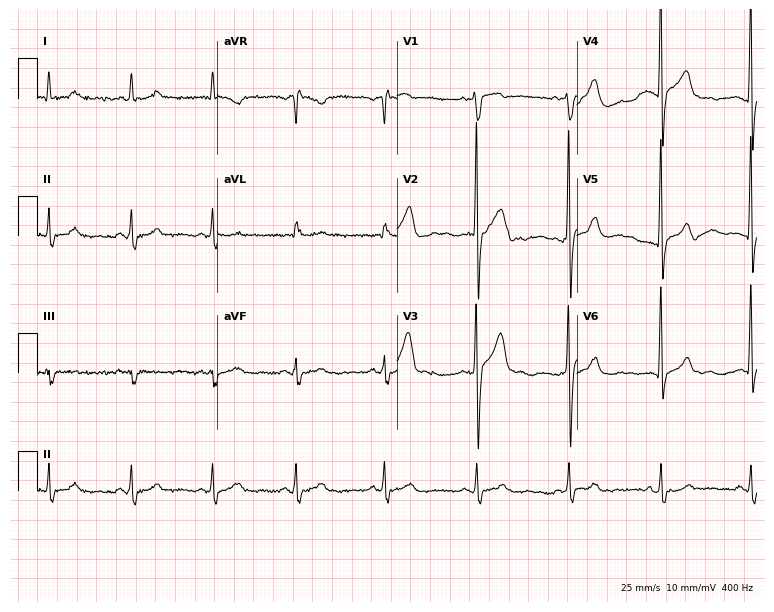
12-lead ECG from a male, 64 years old (7.3-second recording at 400 Hz). Recorded interpretation: within normal limits.